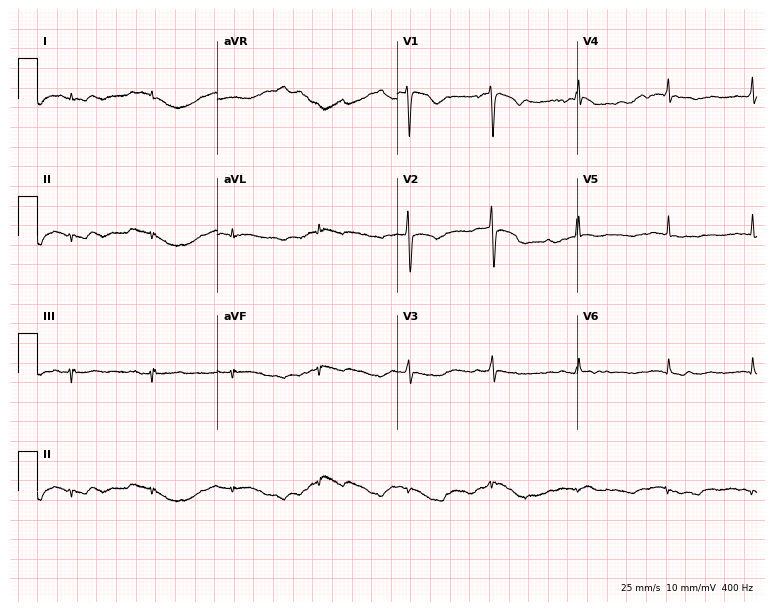
12-lead ECG (7.3-second recording at 400 Hz) from a woman, 29 years old. Screened for six findings — first-degree AV block, right bundle branch block, left bundle branch block, sinus bradycardia, atrial fibrillation, sinus tachycardia — none is recorded. Findings outside these six are not listed.